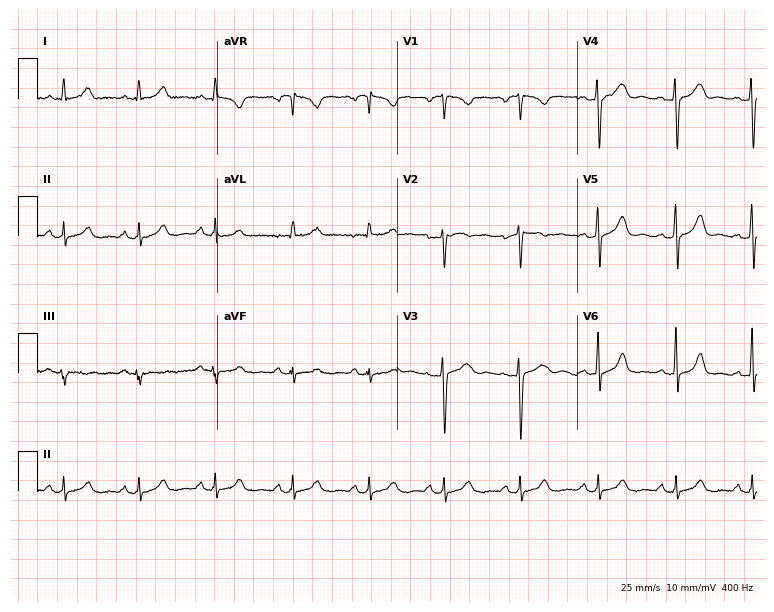
Electrocardiogram, a female patient, 48 years old. Of the six screened findings (first-degree AV block, right bundle branch block (RBBB), left bundle branch block (LBBB), sinus bradycardia, atrial fibrillation (AF), sinus tachycardia), none is recorded.